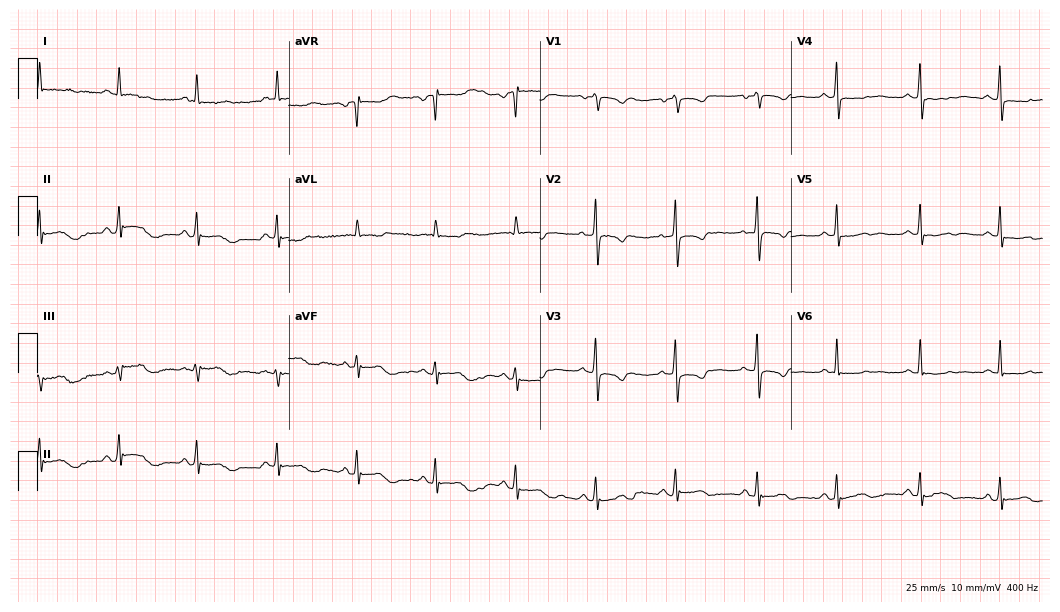
12-lead ECG (10.2-second recording at 400 Hz) from a female patient, 71 years old. Screened for six findings — first-degree AV block, right bundle branch block, left bundle branch block, sinus bradycardia, atrial fibrillation, sinus tachycardia — none is recorded.